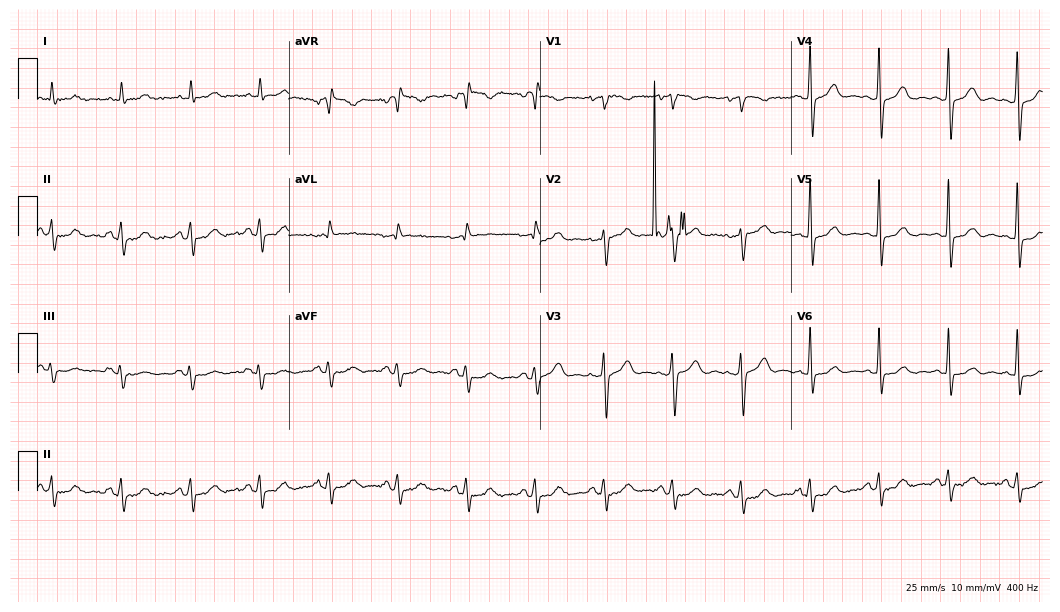
Resting 12-lead electrocardiogram. Patient: a 74-year-old female. None of these six findings is recorded: first-degree AV block, right bundle branch block, left bundle branch block, sinus bradycardia, atrial fibrillation, sinus tachycardia. Findings outside these six are not listed.